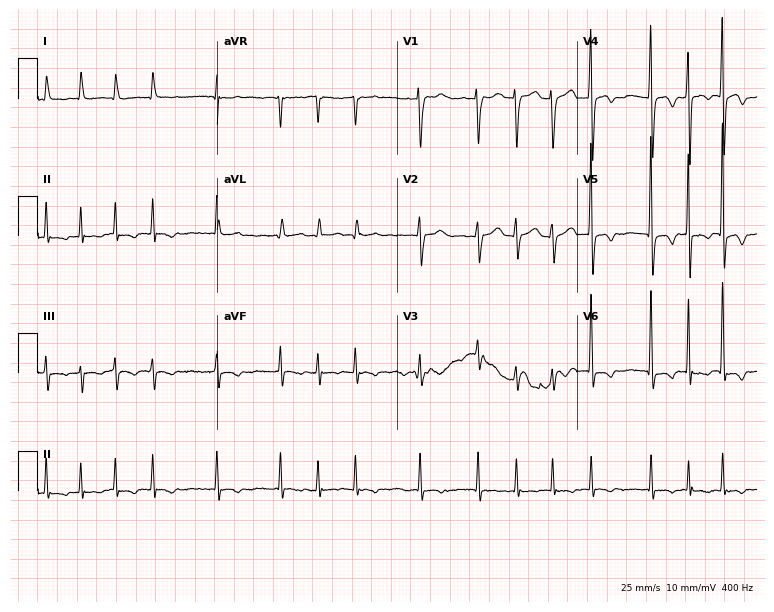
12-lead ECG from a woman, 76 years old. Shows atrial fibrillation.